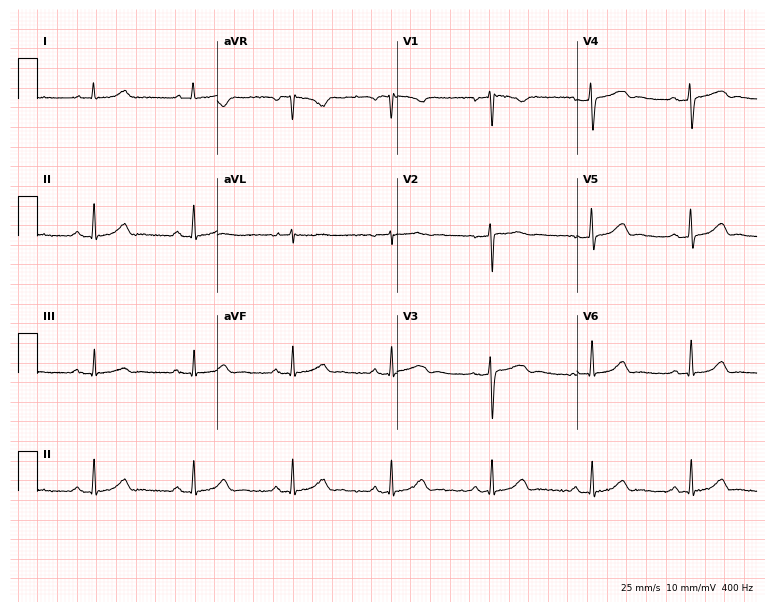
ECG — a 43-year-old female patient. Screened for six findings — first-degree AV block, right bundle branch block (RBBB), left bundle branch block (LBBB), sinus bradycardia, atrial fibrillation (AF), sinus tachycardia — none is recorded. Other findings, if any, are not listed.